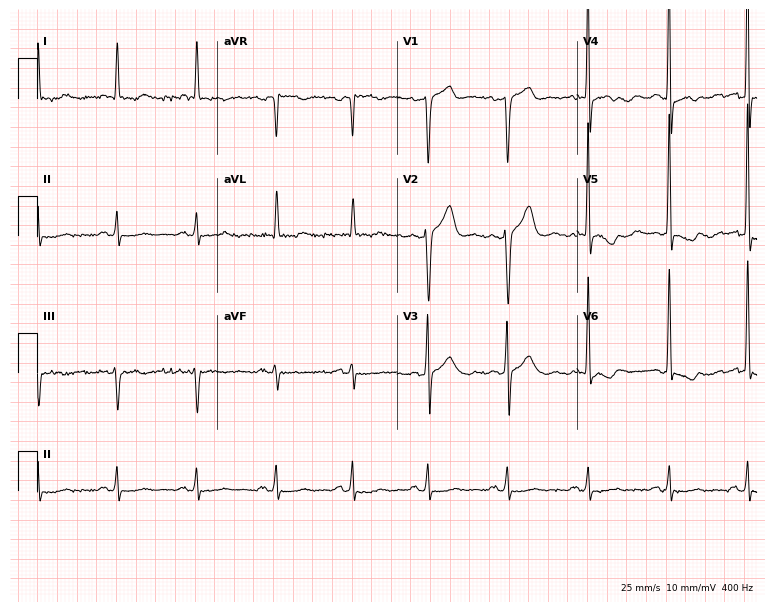
Resting 12-lead electrocardiogram (7.3-second recording at 400 Hz). Patient: a 79-year-old male. Read as a normal ECG.